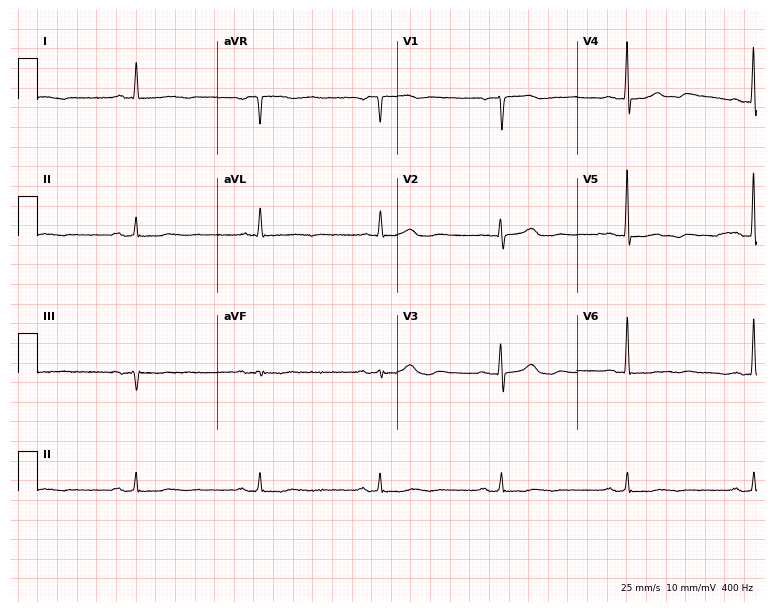
12-lead ECG from a 79-year-old woman (7.3-second recording at 400 Hz). Shows sinus bradycardia (a sinus rate of 50 beats per minute or less).